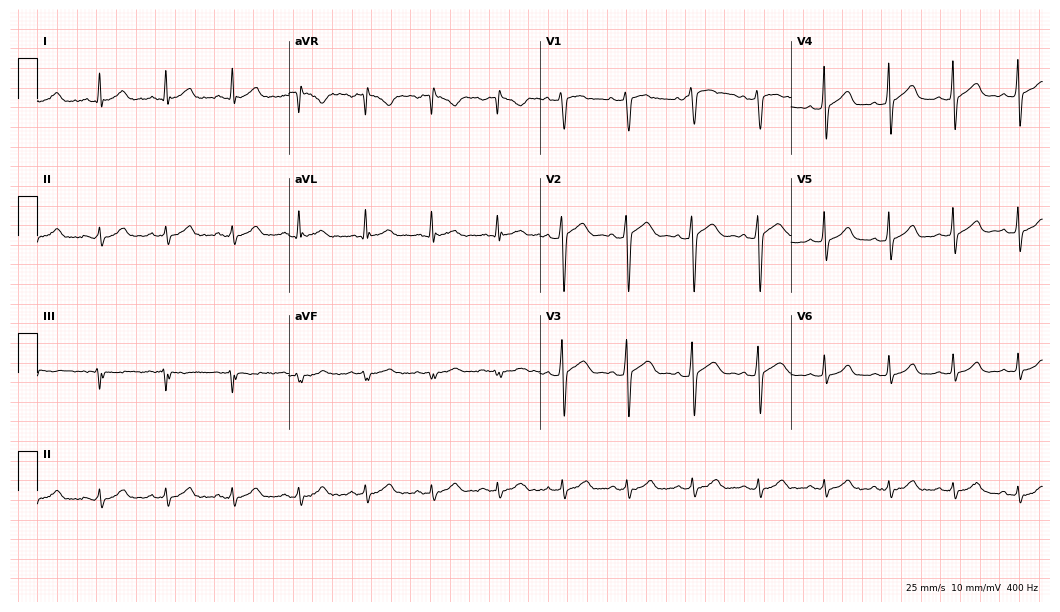
12-lead ECG (10.2-second recording at 400 Hz) from a male patient, 28 years old. Labelled as a normal ECG.